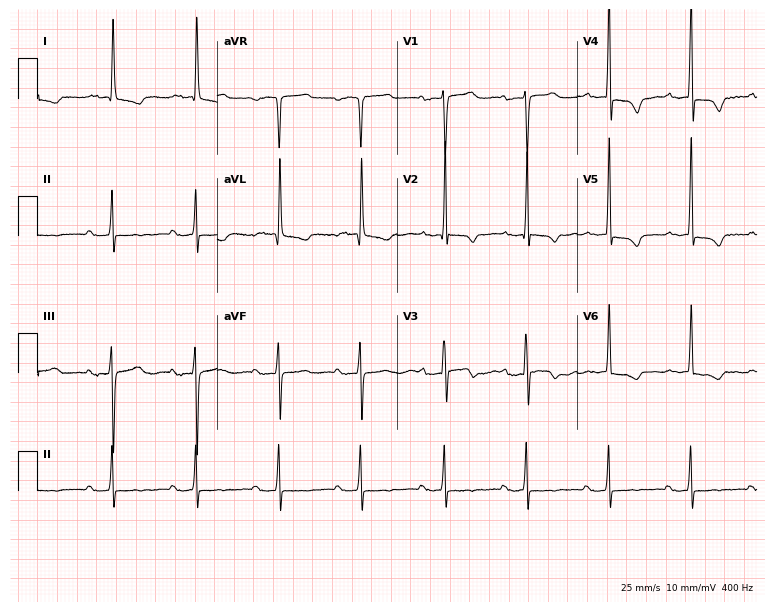
Electrocardiogram, an 80-year-old female patient. Interpretation includes first-degree AV block.